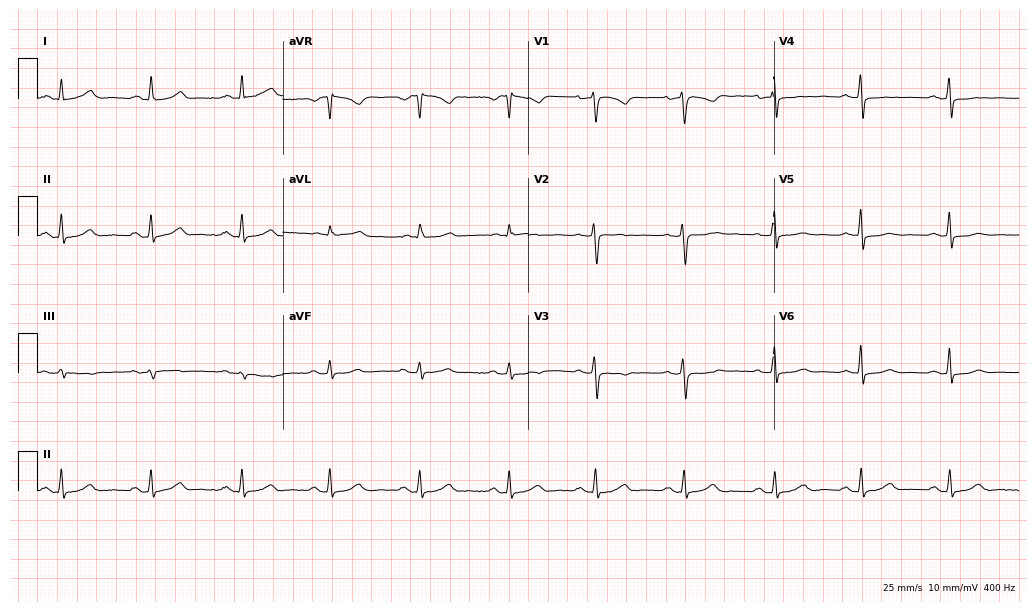
Resting 12-lead electrocardiogram. Patient: a woman, 41 years old. None of these six findings is recorded: first-degree AV block, right bundle branch block, left bundle branch block, sinus bradycardia, atrial fibrillation, sinus tachycardia.